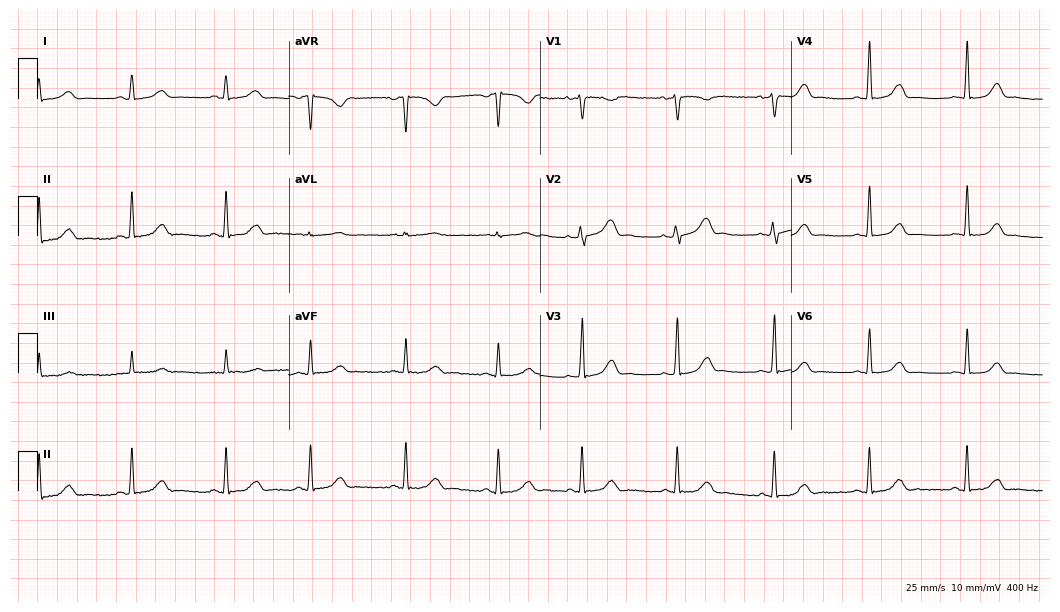
12-lead ECG from a 17-year-old female patient (10.2-second recording at 400 Hz). Recorded interpretation: within normal limits.